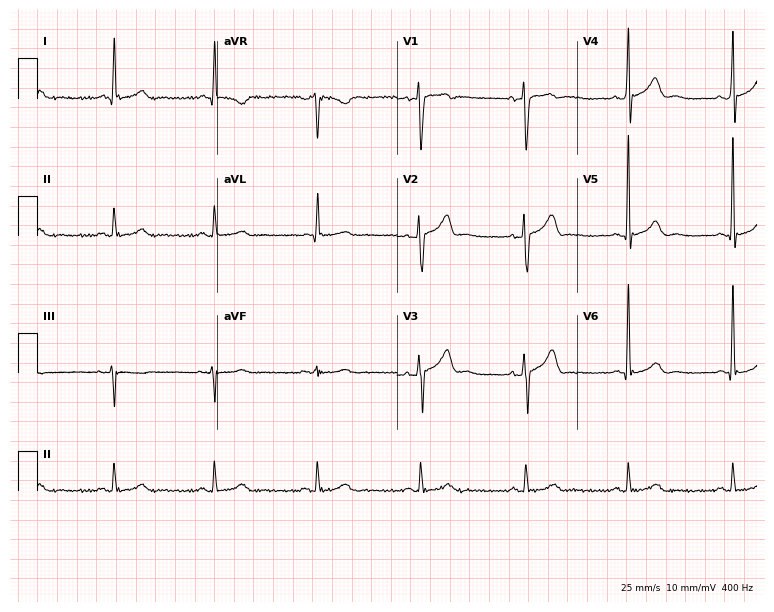
Electrocardiogram, a 49-year-old man. Overall reading on record: normal ECG.